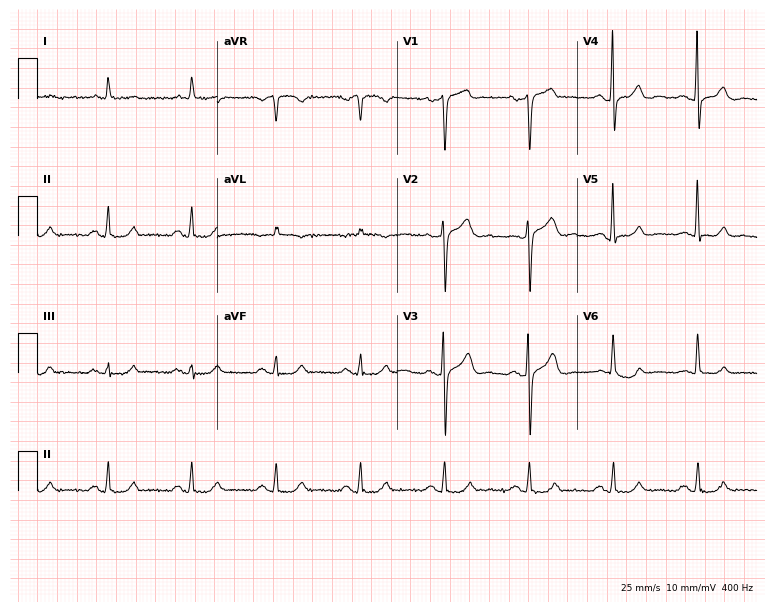
12-lead ECG (7.3-second recording at 400 Hz) from a 73-year-old male. Screened for six findings — first-degree AV block, right bundle branch block, left bundle branch block, sinus bradycardia, atrial fibrillation, sinus tachycardia — none is recorded. Only these six findings were labelled.